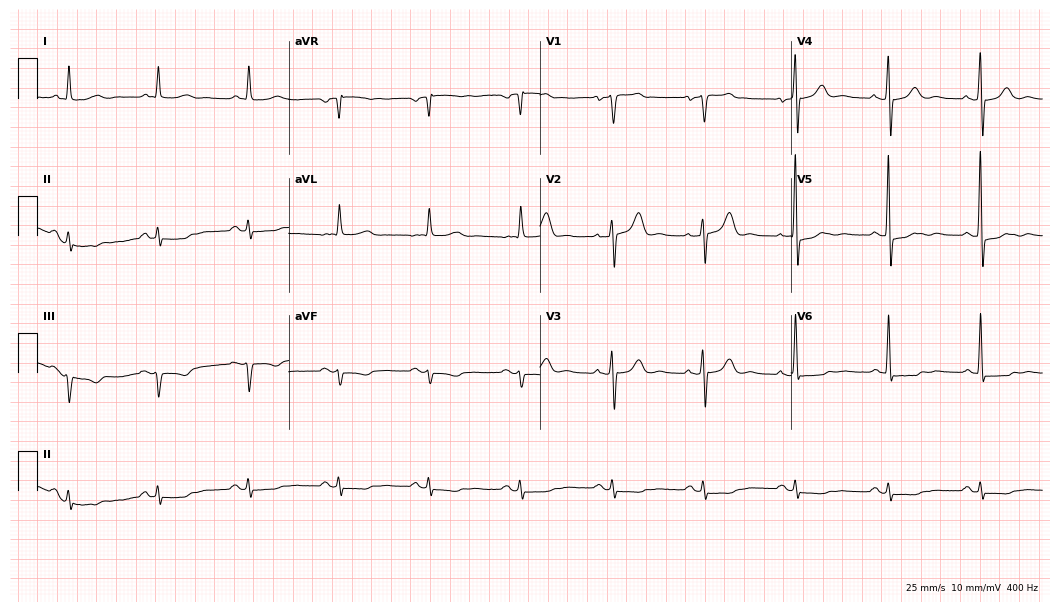
12-lead ECG from an 85-year-old male patient. Screened for six findings — first-degree AV block, right bundle branch block, left bundle branch block, sinus bradycardia, atrial fibrillation, sinus tachycardia — none is recorded. Only these six findings were labelled.